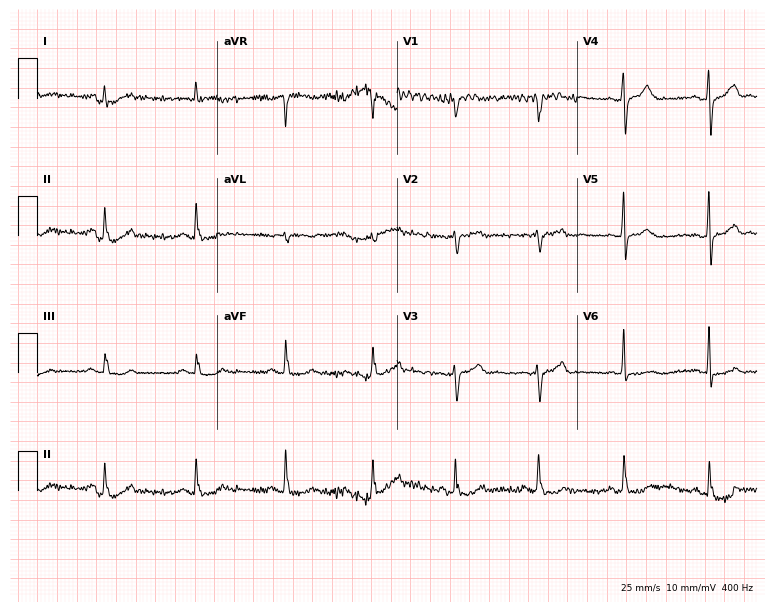
ECG — an 81-year-old man. Labelled as a normal ECG.